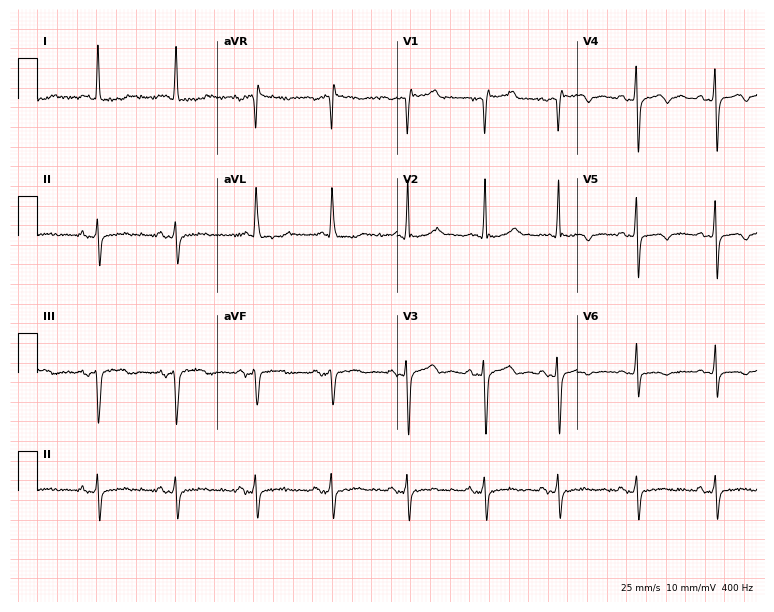
12-lead ECG from a 76-year-old female. No first-degree AV block, right bundle branch block (RBBB), left bundle branch block (LBBB), sinus bradycardia, atrial fibrillation (AF) or sinus tachycardia recorded for this tracing. Other findings, if any, are not listed.